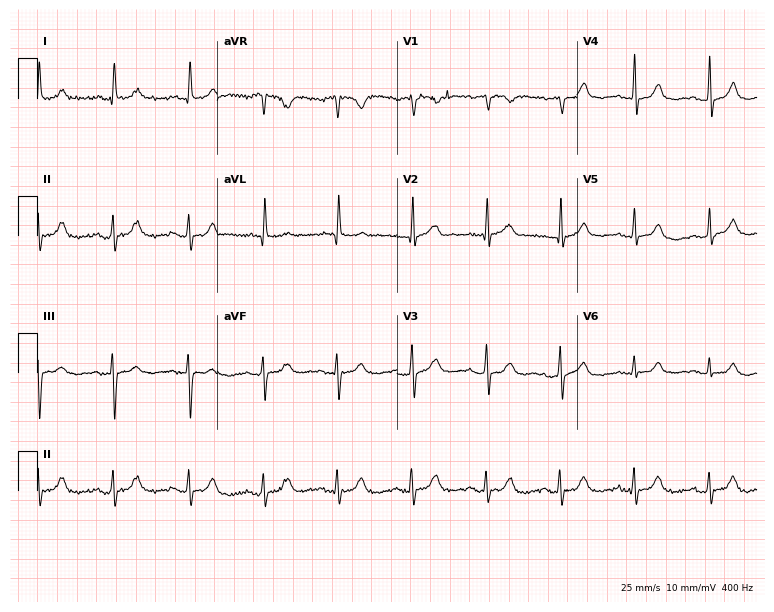
12-lead ECG (7.3-second recording at 400 Hz) from a 73-year-old female patient. Labelled as a normal ECG.